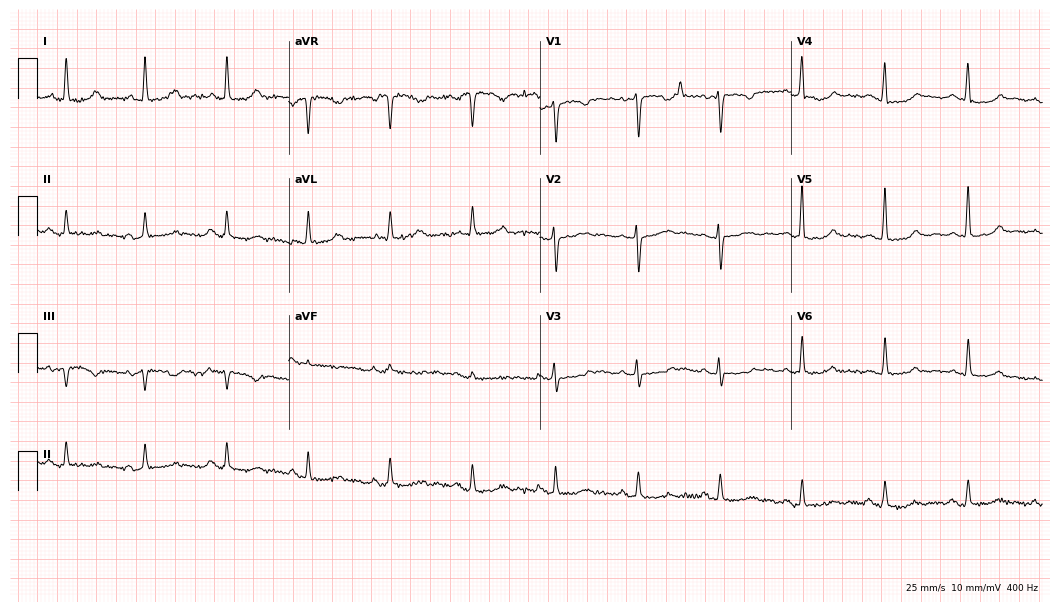
ECG — a woman, 61 years old. Screened for six findings — first-degree AV block, right bundle branch block (RBBB), left bundle branch block (LBBB), sinus bradycardia, atrial fibrillation (AF), sinus tachycardia — none is recorded. Other findings, if any, are not listed.